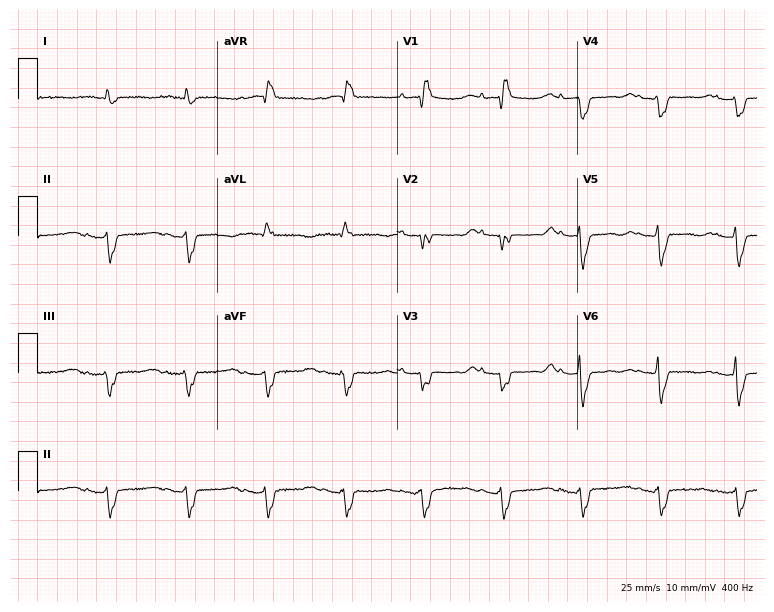
ECG — a 63-year-old female patient. Screened for six findings — first-degree AV block, right bundle branch block, left bundle branch block, sinus bradycardia, atrial fibrillation, sinus tachycardia — none is recorded.